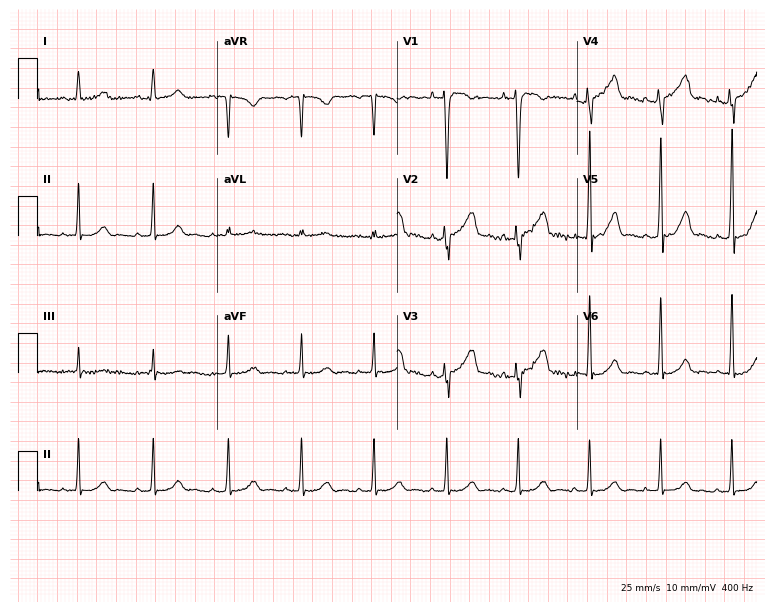
12-lead ECG from a male, 43 years old (7.3-second recording at 400 Hz). Recorded interpretation: within normal limits.